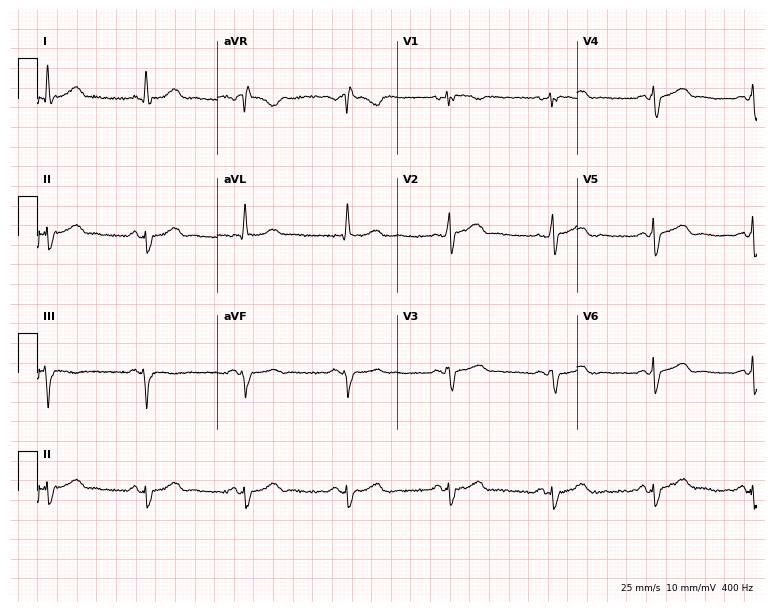
ECG — a 54-year-old female. Screened for six findings — first-degree AV block, right bundle branch block (RBBB), left bundle branch block (LBBB), sinus bradycardia, atrial fibrillation (AF), sinus tachycardia — none is recorded. Other findings, if any, are not listed.